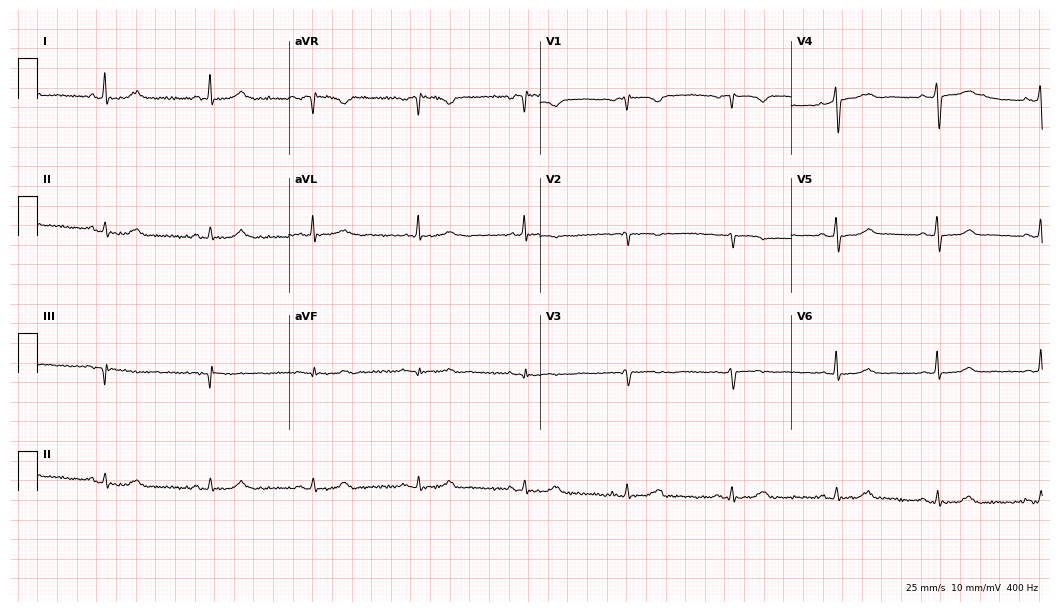
Resting 12-lead electrocardiogram. Patient: a 54-year-old woman. None of these six findings is recorded: first-degree AV block, right bundle branch block (RBBB), left bundle branch block (LBBB), sinus bradycardia, atrial fibrillation (AF), sinus tachycardia. Other findings, if any, are not listed.